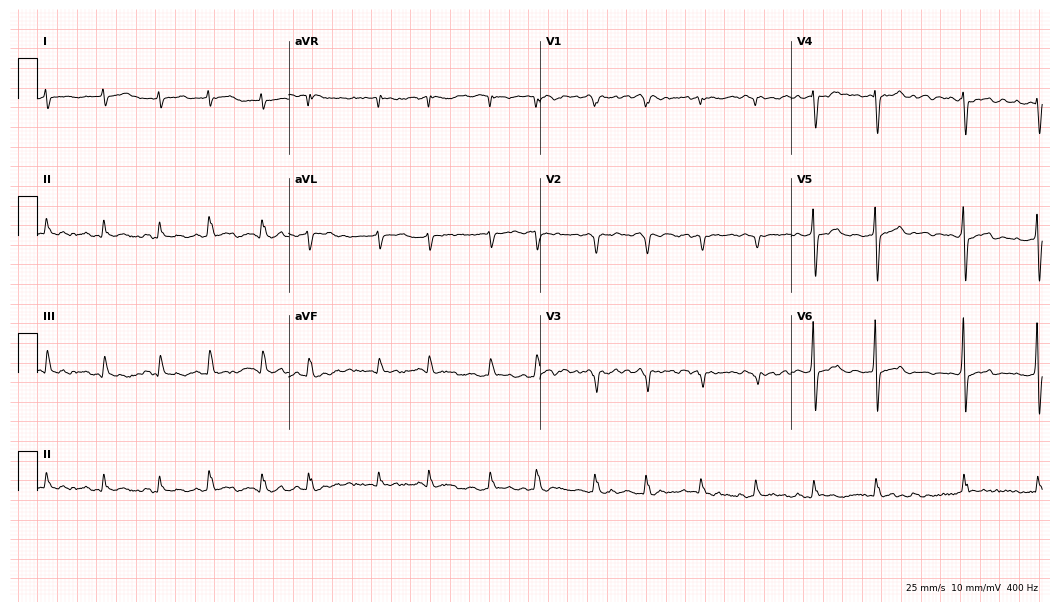
12-lead ECG (10.2-second recording at 400 Hz) from a female patient, 75 years old. Findings include atrial fibrillation.